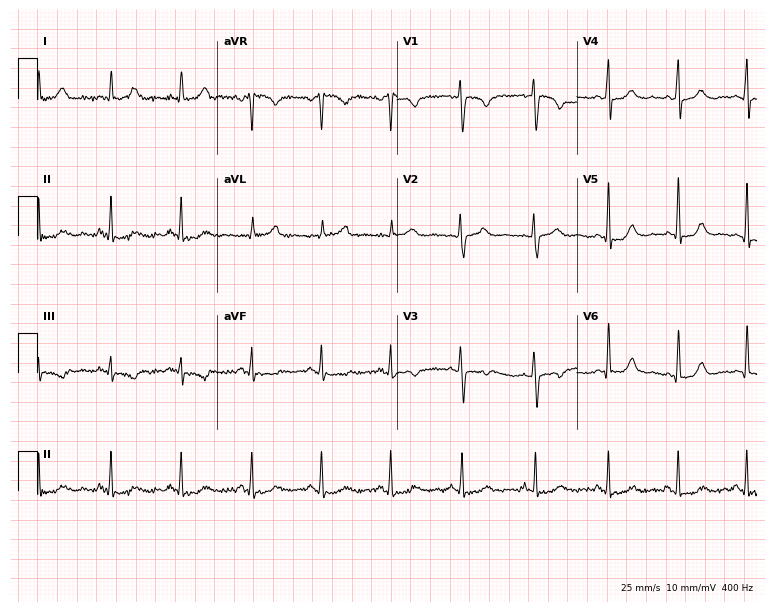
12-lead ECG from a woman, 44 years old. Screened for six findings — first-degree AV block, right bundle branch block (RBBB), left bundle branch block (LBBB), sinus bradycardia, atrial fibrillation (AF), sinus tachycardia — none is recorded.